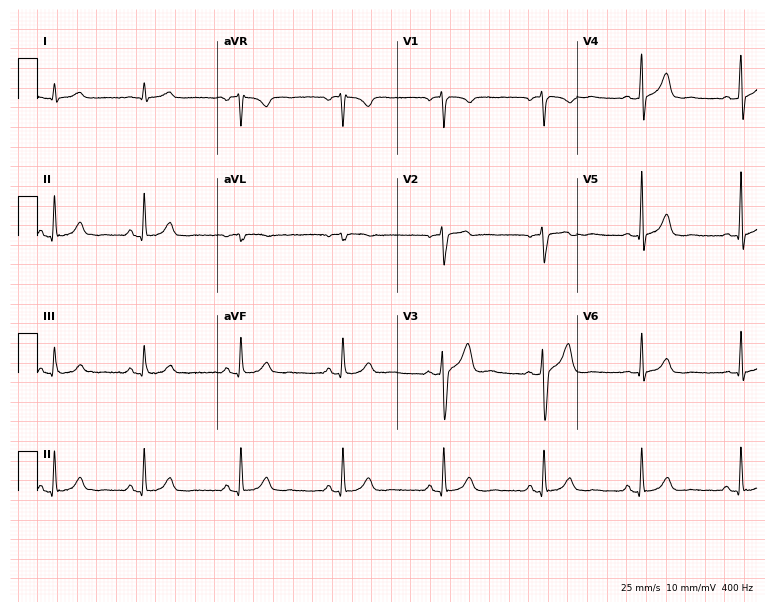
Resting 12-lead electrocardiogram. Patient: a 68-year-old male. Read as a normal ECG.